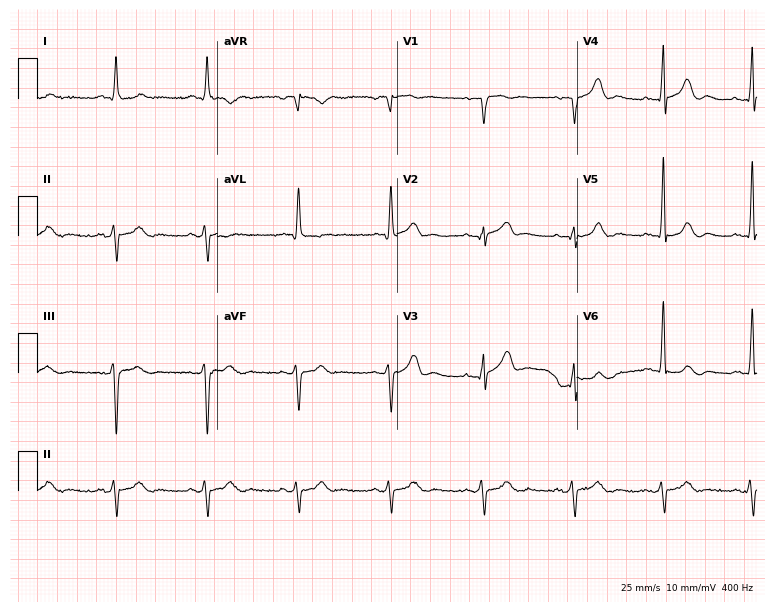
12-lead ECG (7.3-second recording at 400 Hz) from a man, 83 years old. Labelled as a normal ECG.